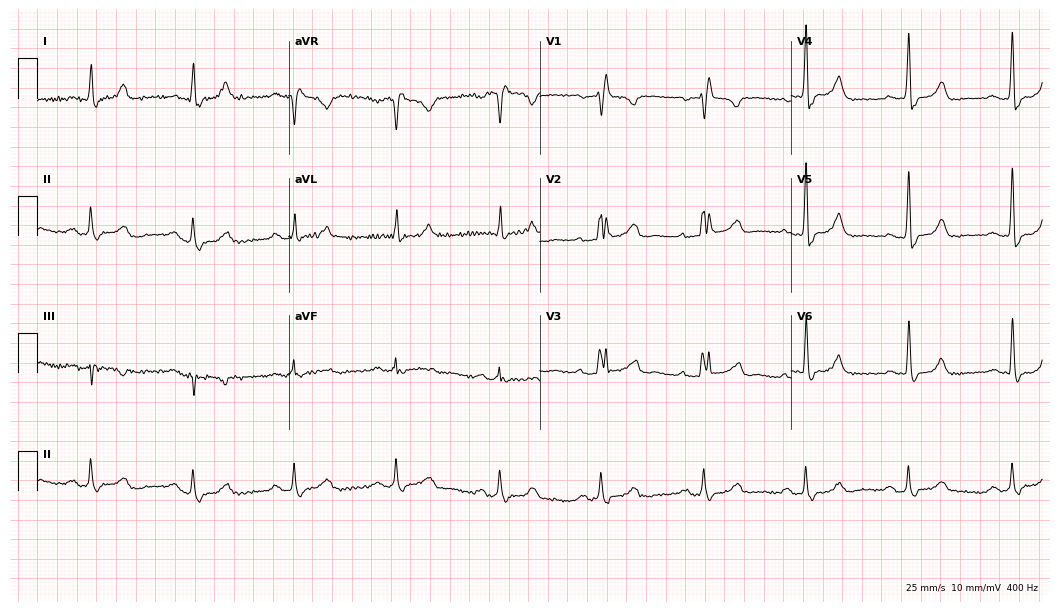
Electrocardiogram (10.2-second recording at 400 Hz), a female patient, 70 years old. Interpretation includes first-degree AV block, right bundle branch block (RBBB).